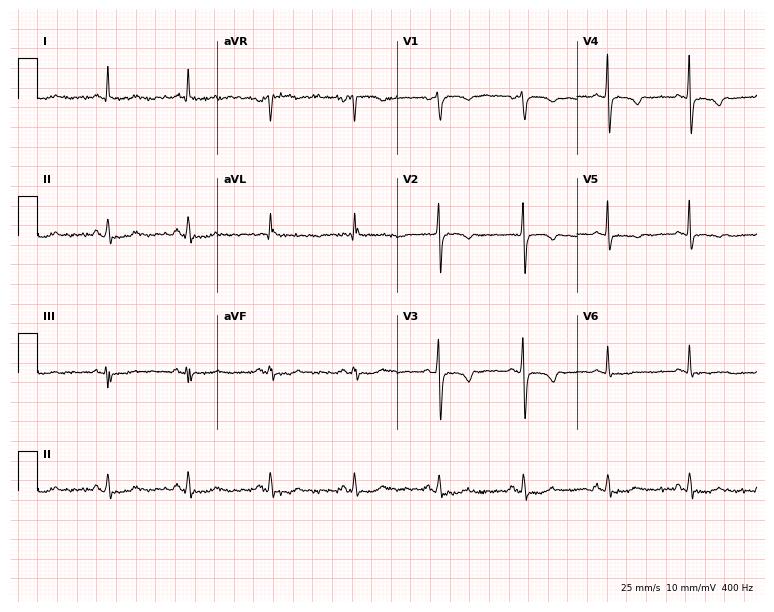
Resting 12-lead electrocardiogram. Patient: a female, 73 years old. None of these six findings is recorded: first-degree AV block, right bundle branch block (RBBB), left bundle branch block (LBBB), sinus bradycardia, atrial fibrillation (AF), sinus tachycardia.